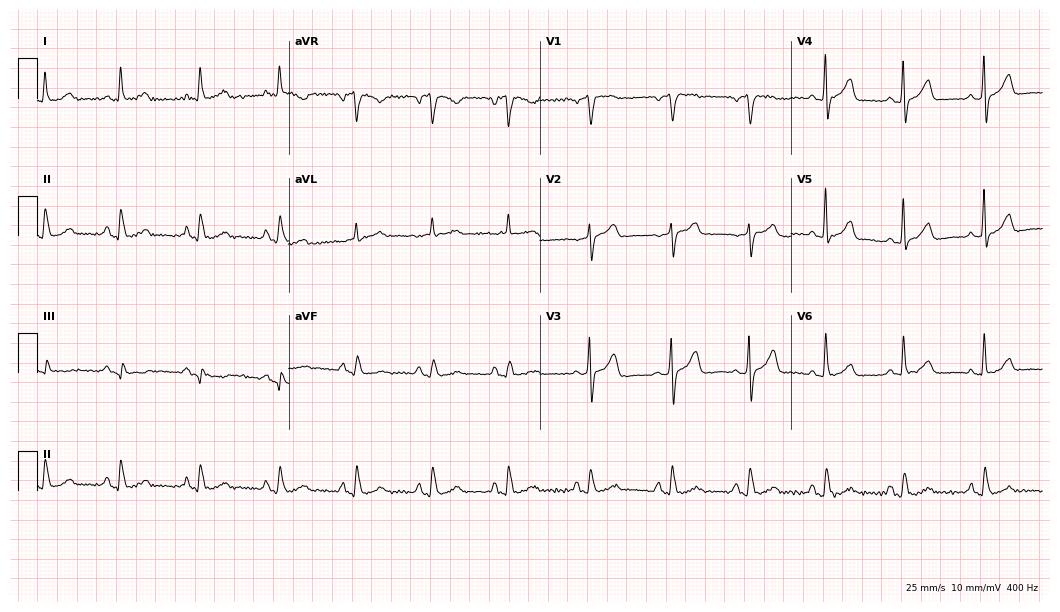
Standard 12-lead ECG recorded from a male patient, 63 years old. None of these six findings is recorded: first-degree AV block, right bundle branch block, left bundle branch block, sinus bradycardia, atrial fibrillation, sinus tachycardia. Findings outside these six are not listed.